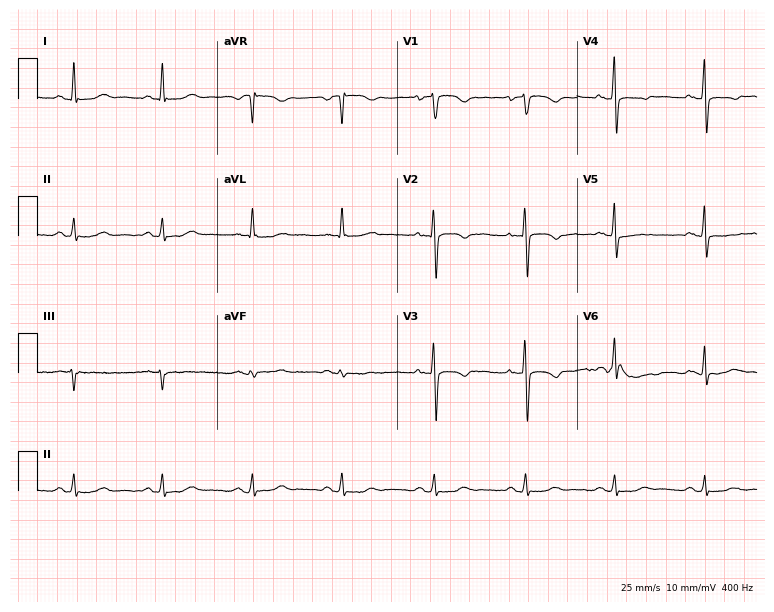
Electrocardiogram (7.3-second recording at 400 Hz), a 57-year-old female. Of the six screened findings (first-degree AV block, right bundle branch block, left bundle branch block, sinus bradycardia, atrial fibrillation, sinus tachycardia), none is recorded. Findings outside these six are not listed.